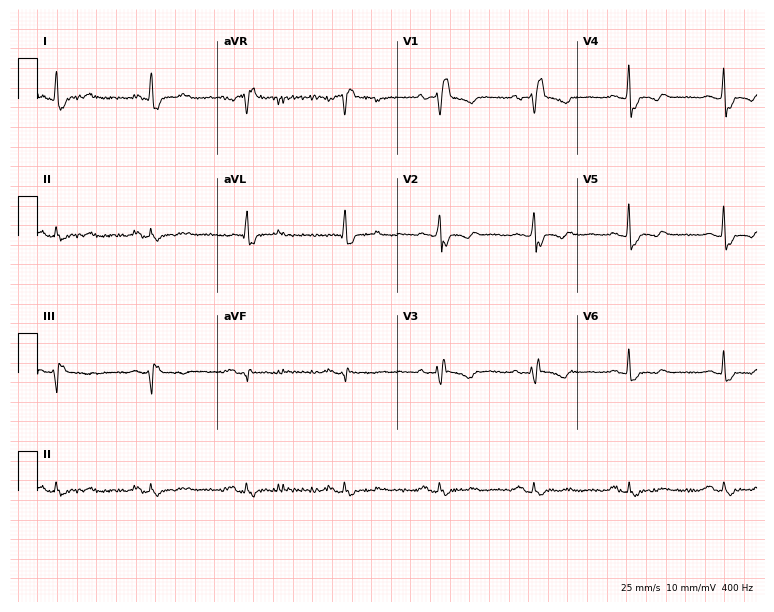
Electrocardiogram, a 58-year-old female. Interpretation includes right bundle branch block (RBBB).